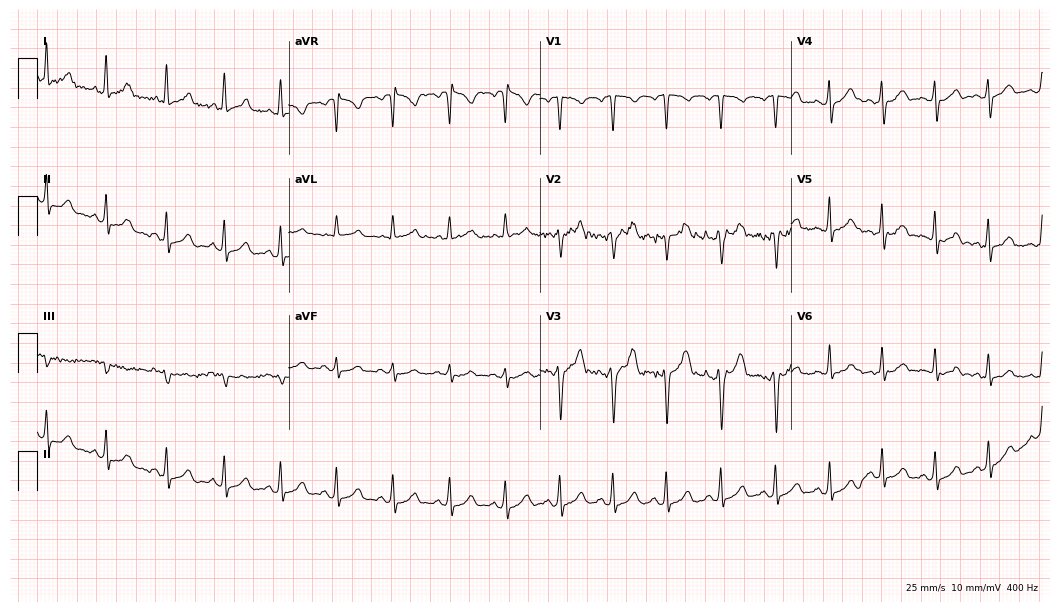
Resting 12-lead electrocardiogram (10.2-second recording at 400 Hz). Patient: a female, 48 years old. None of these six findings is recorded: first-degree AV block, right bundle branch block, left bundle branch block, sinus bradycardia, atrial fibrillation, sinus tachycardia.